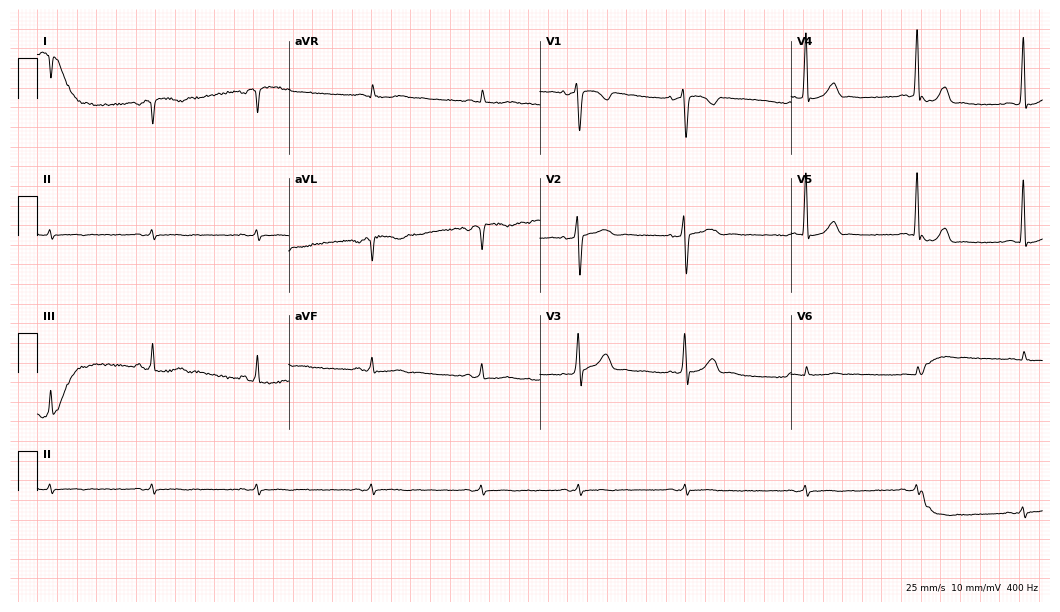
12-lead ECG from a woman, 28 years old (10.2-second recording at 400 Hz). No first-degree AV block, right bundle branch block, left bundle branch block, sinus bradycardia, atrial fibrillation or sinus tachycardia recorded for this tracing.